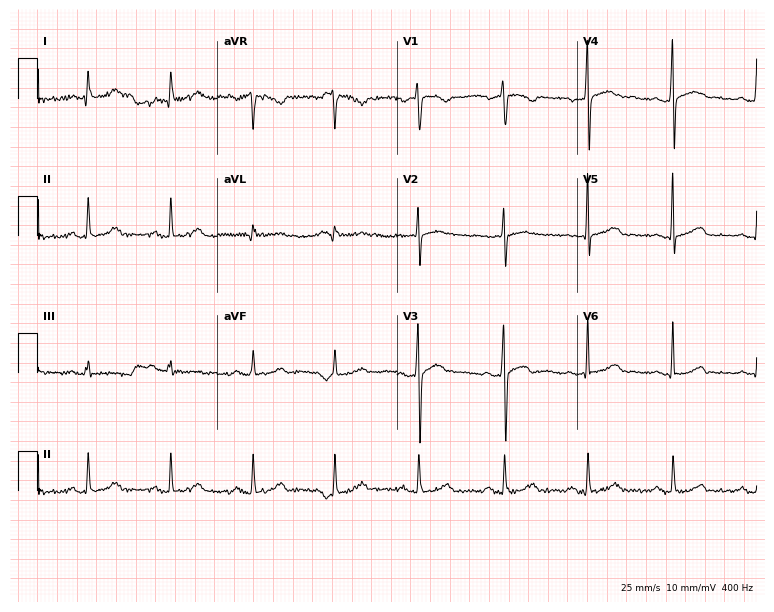
12-lead ECG from a 64-year-old male. Labelled as a normal ECG.